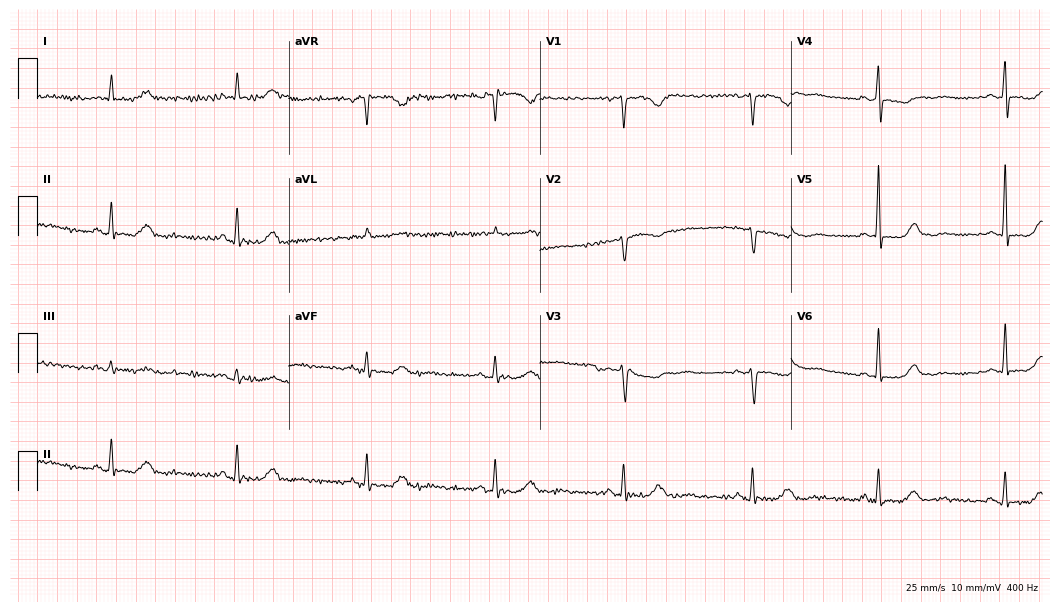
Electrocardiogram, a 65-year-old female. Interpretation includes sinus bradycardia (a sinus rate of 50 beats per minute or less).